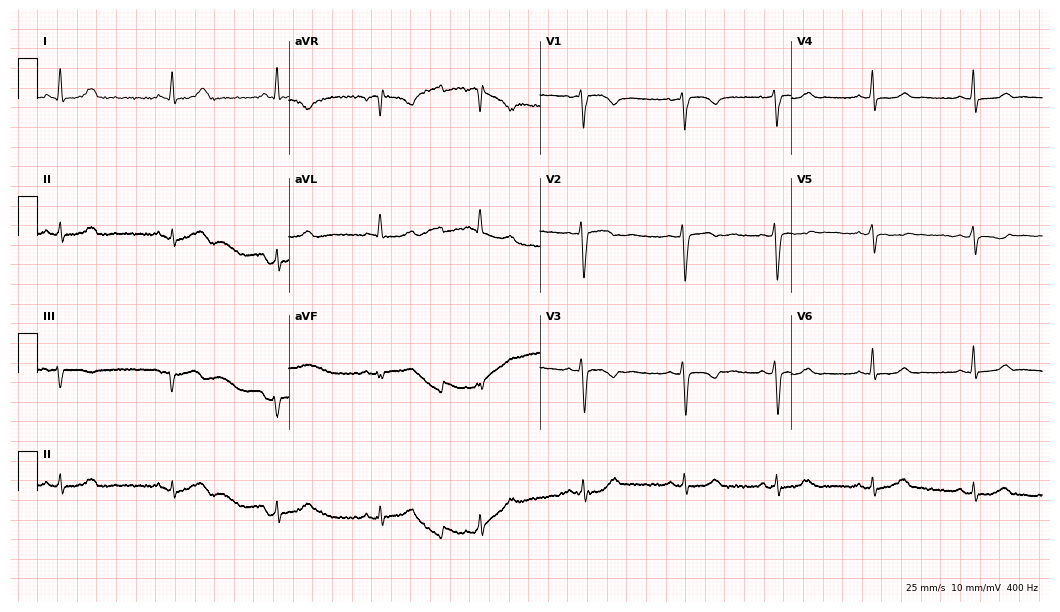
Standard 12-lead ECG recorded from a 58-year-old woman (10.2-second recording at 400 Hz). None of these six findings is recorded: first-degree AV block, right bundle branch block, left bundle branch block, sinus bradycardia, atrial fibrillation, sinus tachycardia. Other findings, if any, are not listed.